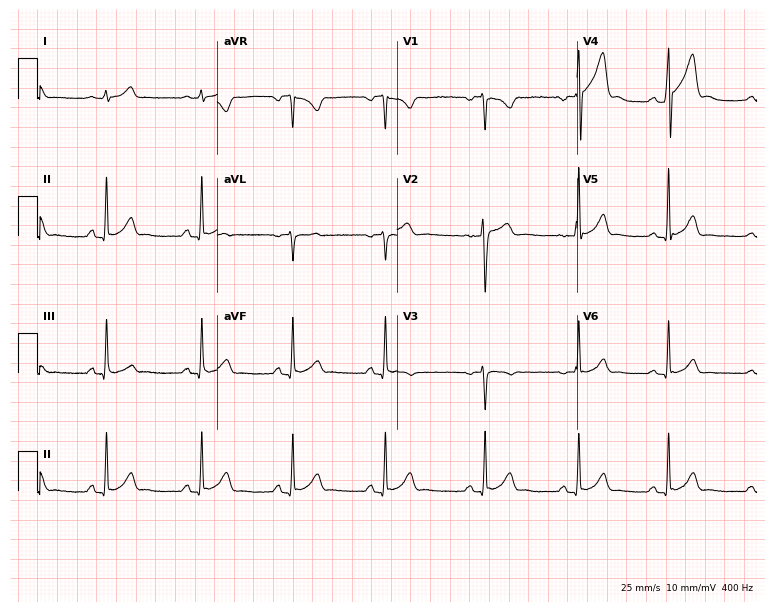
12-lead ECG from a 20-year-old female. Labelled as a normal ECG.